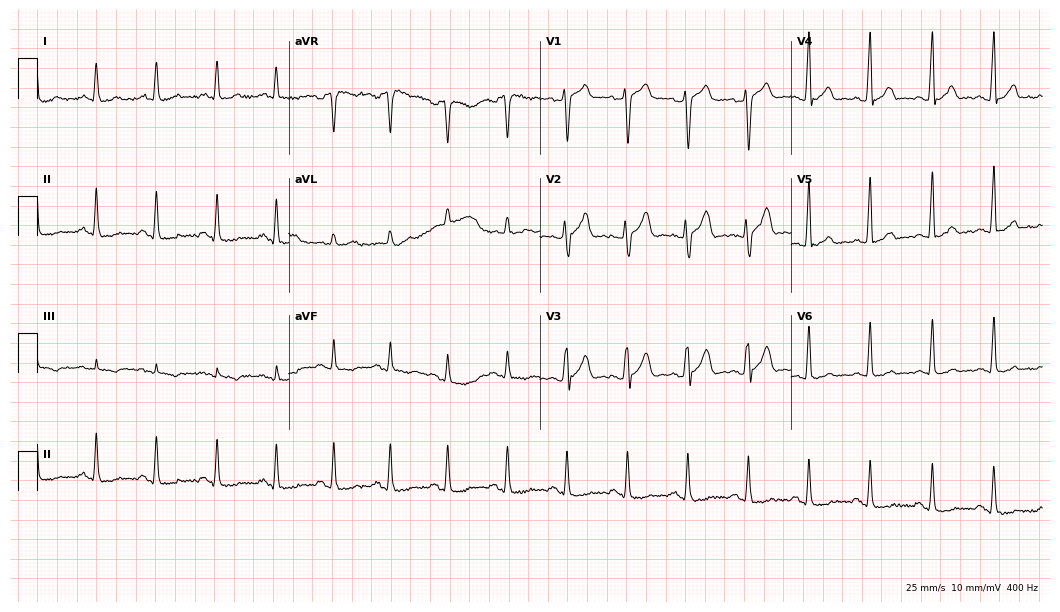
12-lead ECG from a male patient, 33 years old (10.2-second recording at 400 Hz). No first-degree AV block, right bundle branch block, left bundle branch block, sinus bradycardia, atrial fibrillation or sinus tachycardia recorded for this tracing. Only these six findings were labelled.